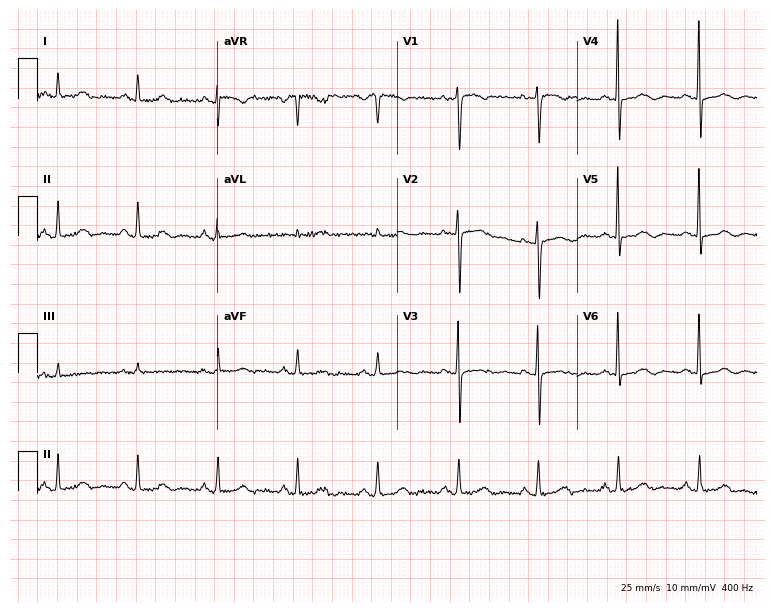
Electrocardiogram, a woman, 71 years old. Overall reading on record: normal ECG.